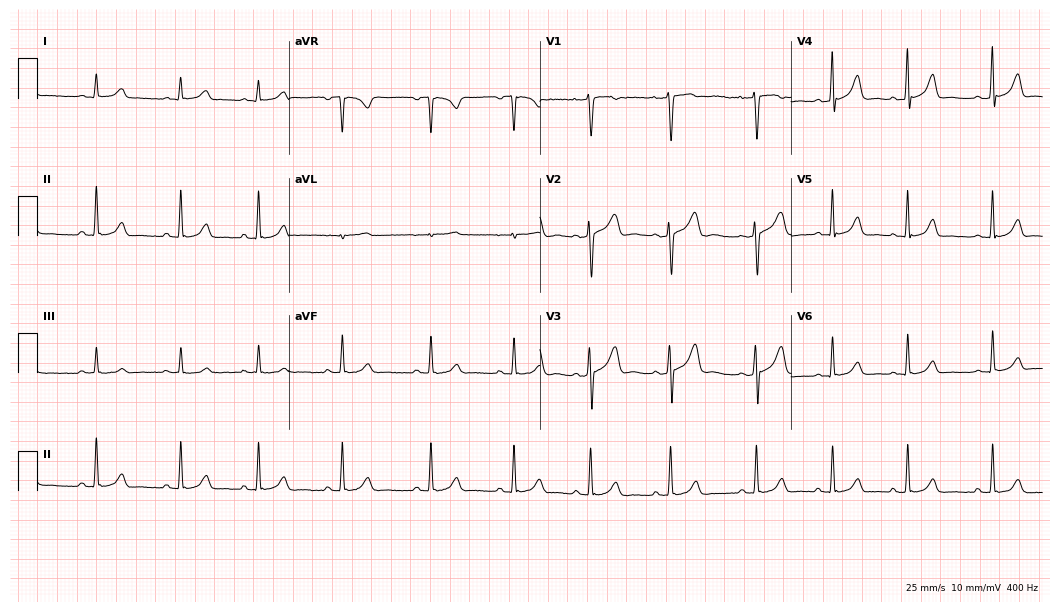
ECG (10.2-second recording at 400 Hz) — a 17-year-old female. Labelled as a normal ECG.